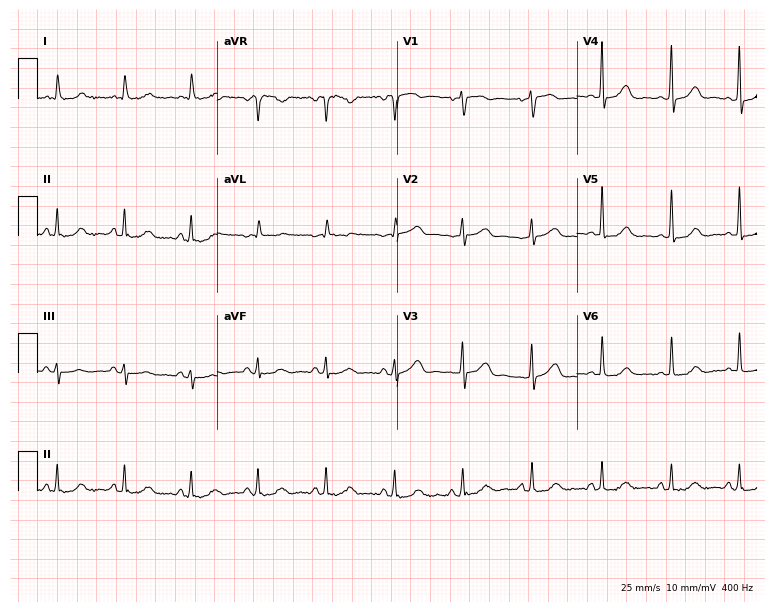
ECG — a female patient, 66 years old. Screened for six findings — first-degree AV block, right bundle branch block, left bundle branch block, sinus bradycardia, atrial fibrillation, sinus tachycardia — none is recorded. Other findings, if any, are not listed.